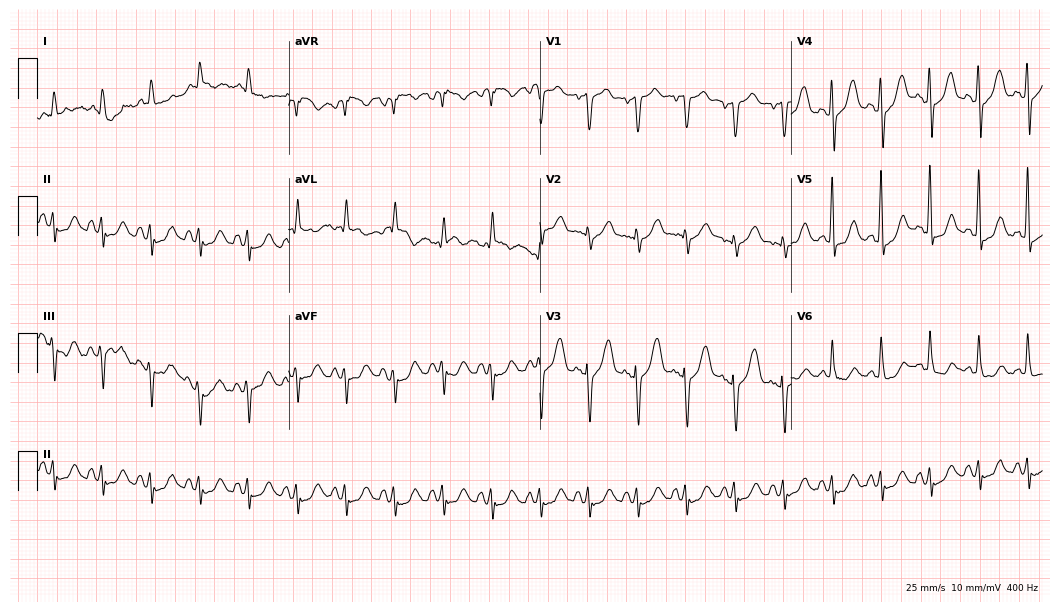
Standard 12-lead ECG recorded from a female, 85 years old (10.2-second recording at 400 Hz). The tracing shows sinus tachycardia (a sinus rate of 100 beats per minute or more).